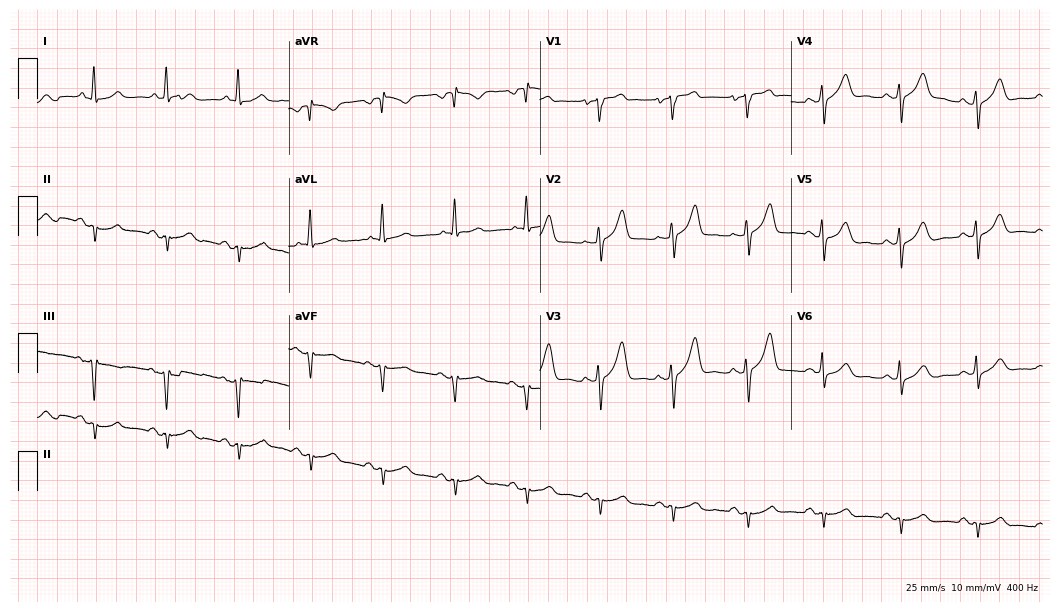
ECG — a 70-year-old male patient. Screened for six findings — first-degree AV block, right bundle branch block, left bundle branch block, sinus bradycardia, atrial fibrillation, sinus tachycardia — none is recorded.